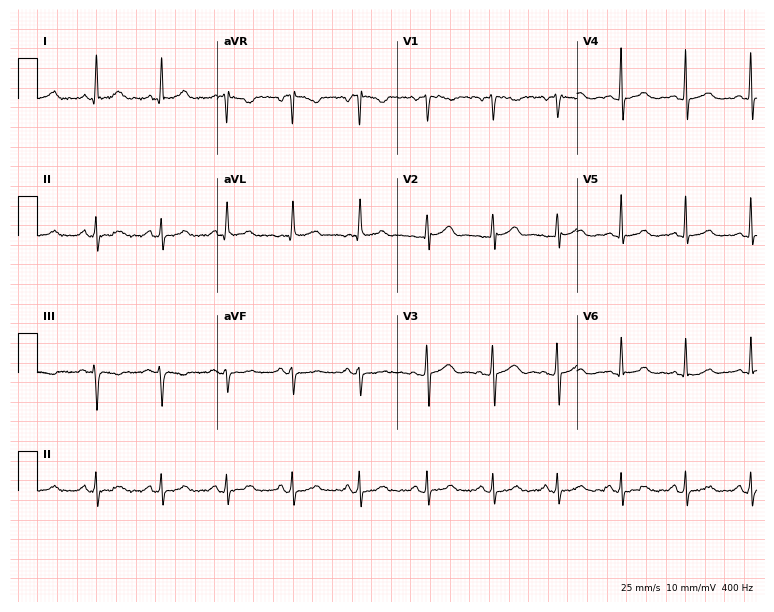
Resting 12-lead electrocardiogram. Patient: a 44-year-old female. Read as a normal ECG.